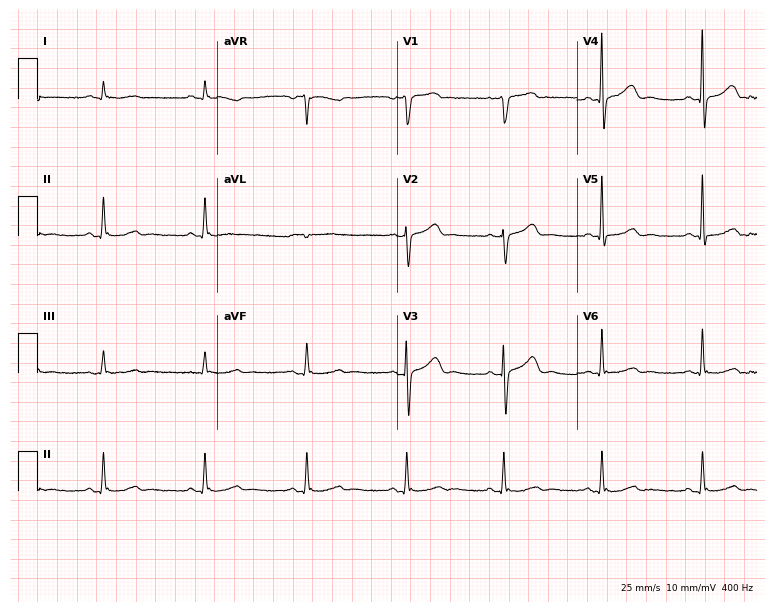
12-lead ECG from a male patient, 67 years old (7.3-second recording at 400 Hz). Recorded interpretation: within normal limits.